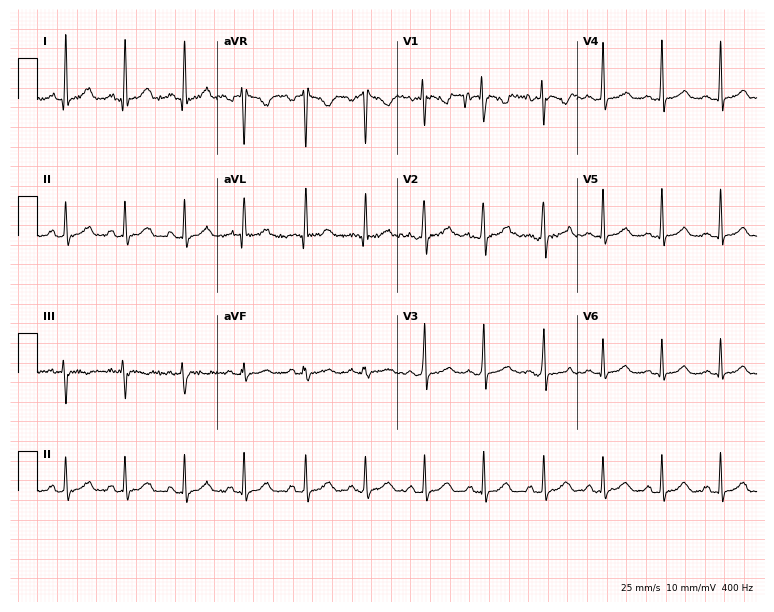
Resting 12-lead electrocardiogram. Patient: a woman, 20 years old. None of these six findings is recorded: first-degree AV block, right bundle branch block, left bundle branch block, sinus bradycardia, atrial fibrillation, sinus tachycardia. Other findings, if any, are not listed.